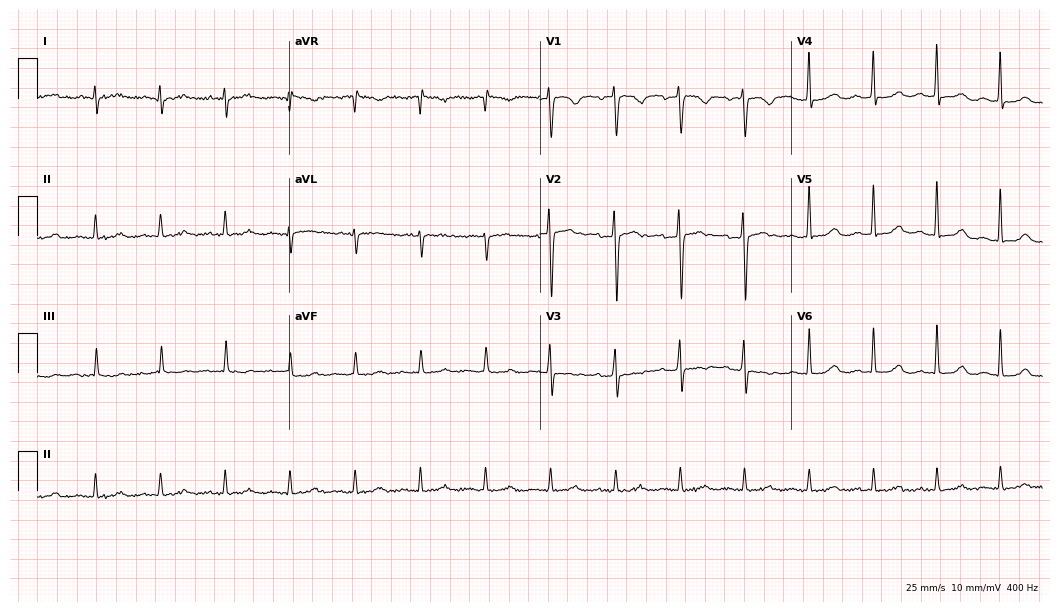
Electrocardiogram, a 58-year-old woman. Of the six screened findings (first-degree AV block, right bundle branch block, left bundle branch block, sinus bradycardia, atrial fibrillation, sinus tachycardia), none is recorded.